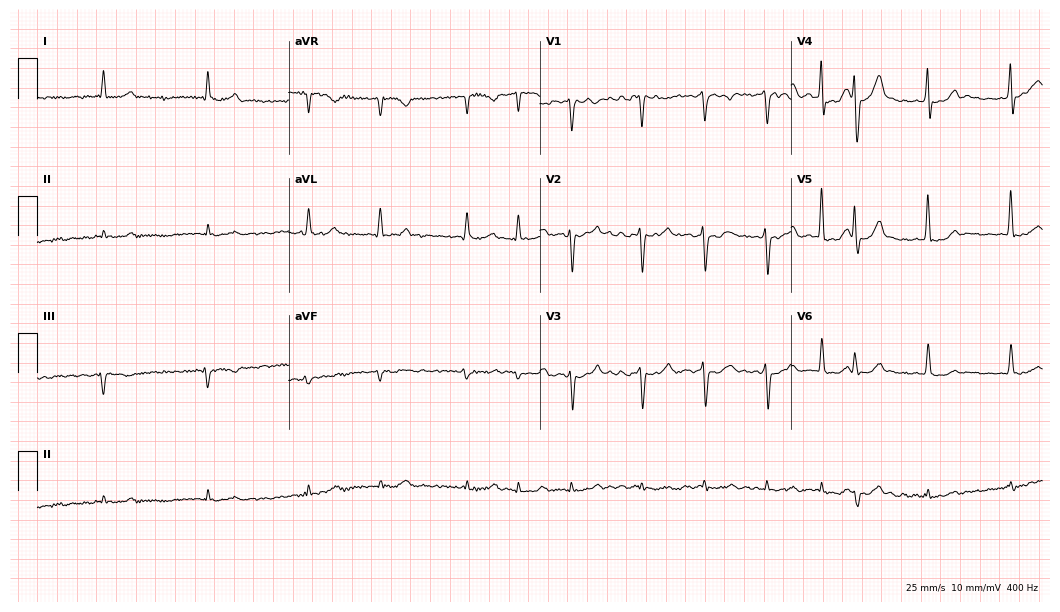
Electrocardiogram, a male, 73 years old. Interpretation includes atrial fibrillation (AF).